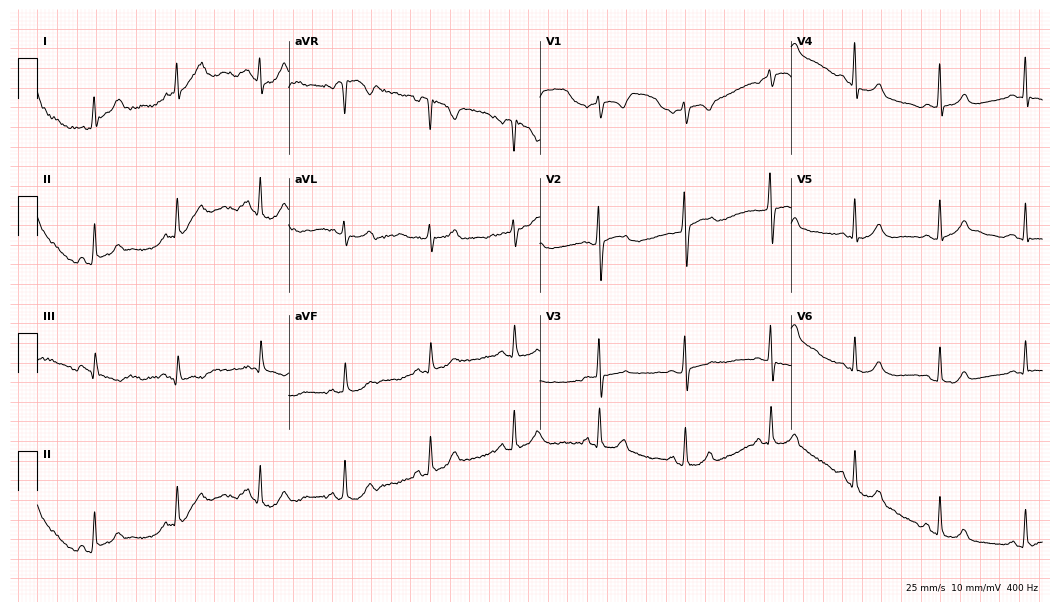
Resting 12-lead electrocardiogram (10.2-second recording at 400 Hz). Patient: a woman, 69 years old. Read as a normal ECG.